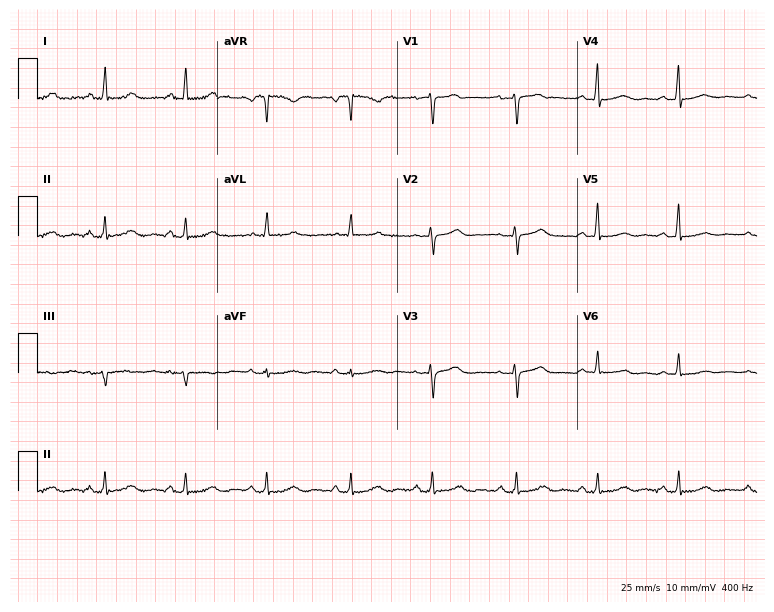
Electrocardiogram (7.3-second recording at 400 Hz), a female, 58 years old. Of the six screened findings (first-degree AV block, right bundle branch block, left bundle branch block, sinus bradycardia, atrial fibrillation, sinus tachycardia), none is recorded.